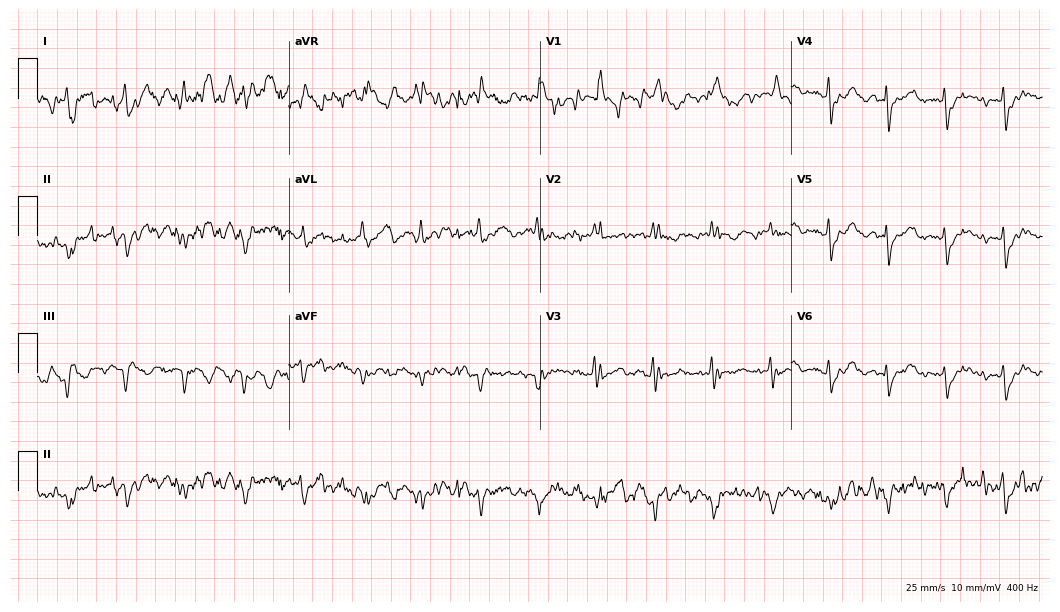
Resting 12-lead electrocardiogram (10.2-second recording at 400 Hz). Patient: a 76-year-old male. None of these six findings is recorded: first-degree AV block, right bundle branch block (RBBB), left bundle branch block (LBBB), sinus bradycardia, atrial fibrillation (AF), sinus tachycardia.